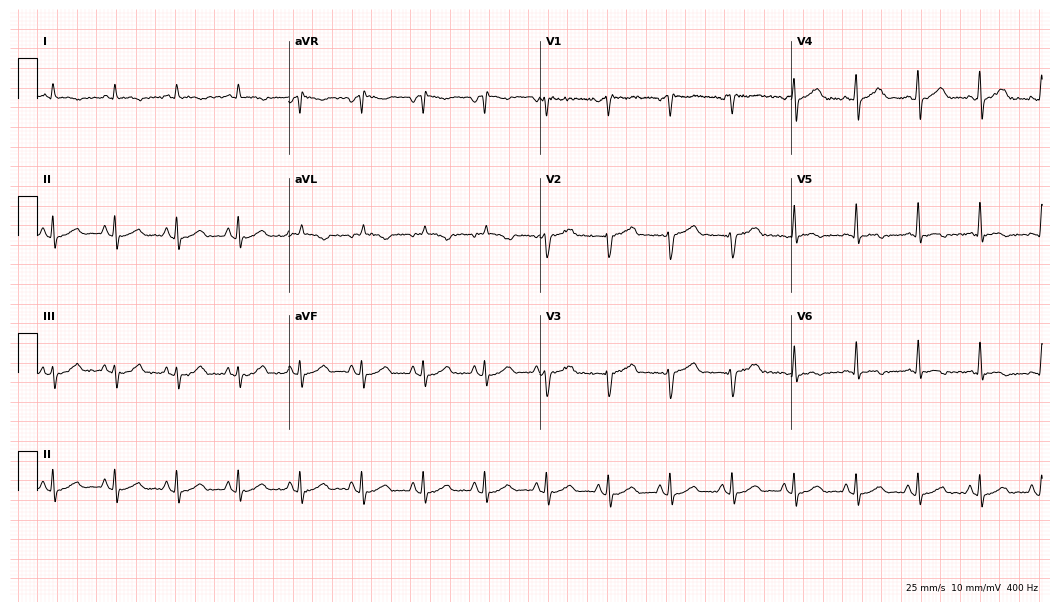
12-lead ECG from a man, 70 years old (10.2-second recording at 400 Hz). Recorded interpretation: within normal limits.